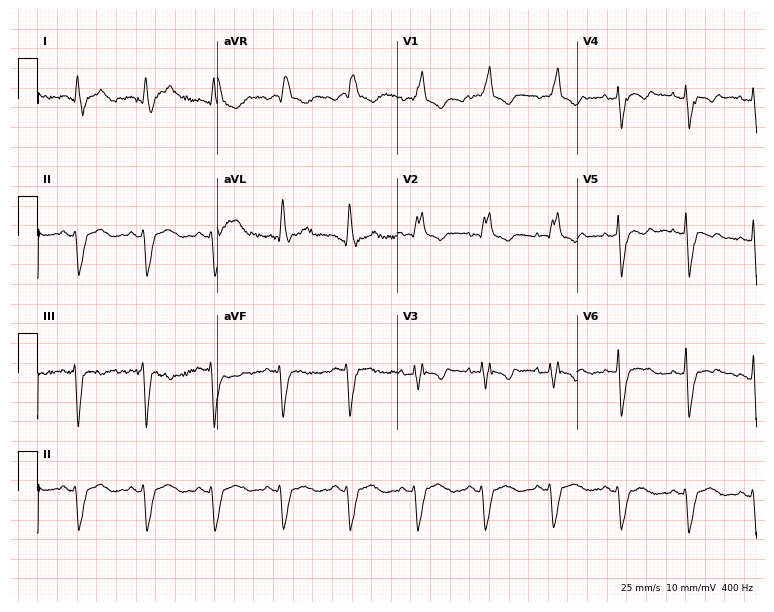
Standard 12-lead ECG recorded from a woman, 53 years old (7.3-second recording at 400 Hz). The tracing shows right bundle branch block (RBBB).